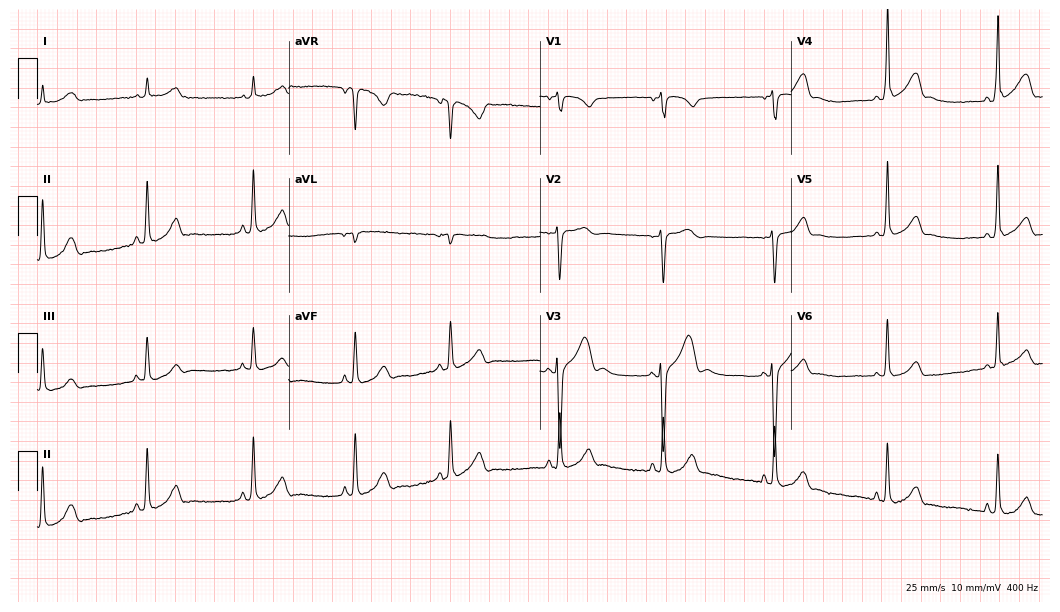
12-lead ECG (10.2-second recording at 400 Hz) from a man, 18 years old. Labelled as a normal ECG.